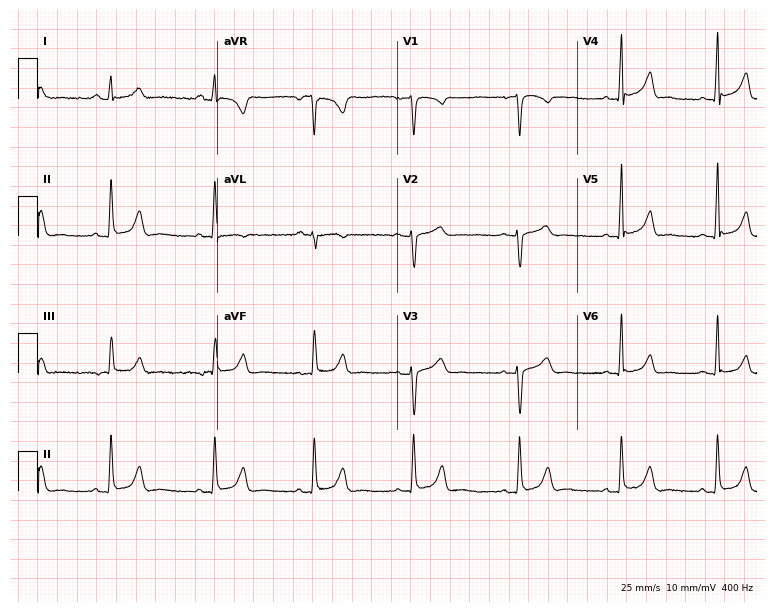
12-lead ECG from a female patient, 32 years old (7.3-second recording at 400 Hz). Recorded interpretation: within normal limits.